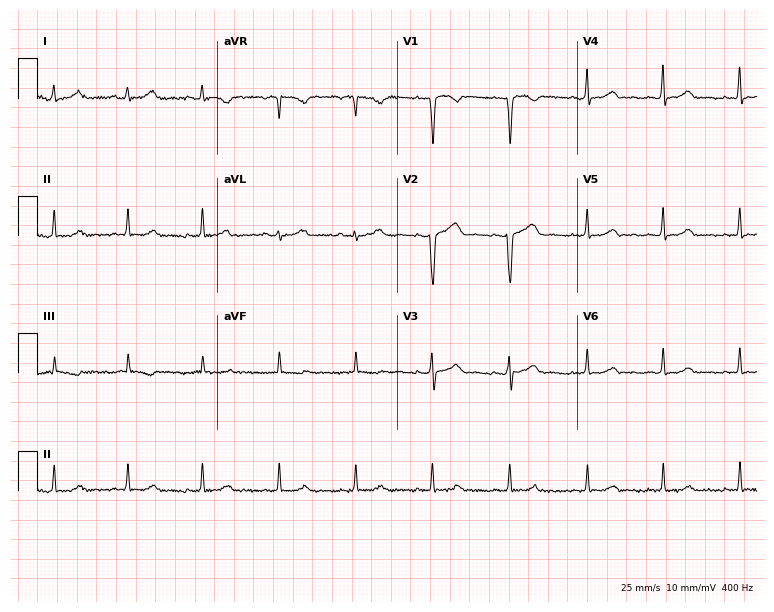
Standard 12-lead ECG recorded from a female patient, 23 years old (7.3-second recording at 400 Hz). Read as a normal ECG.